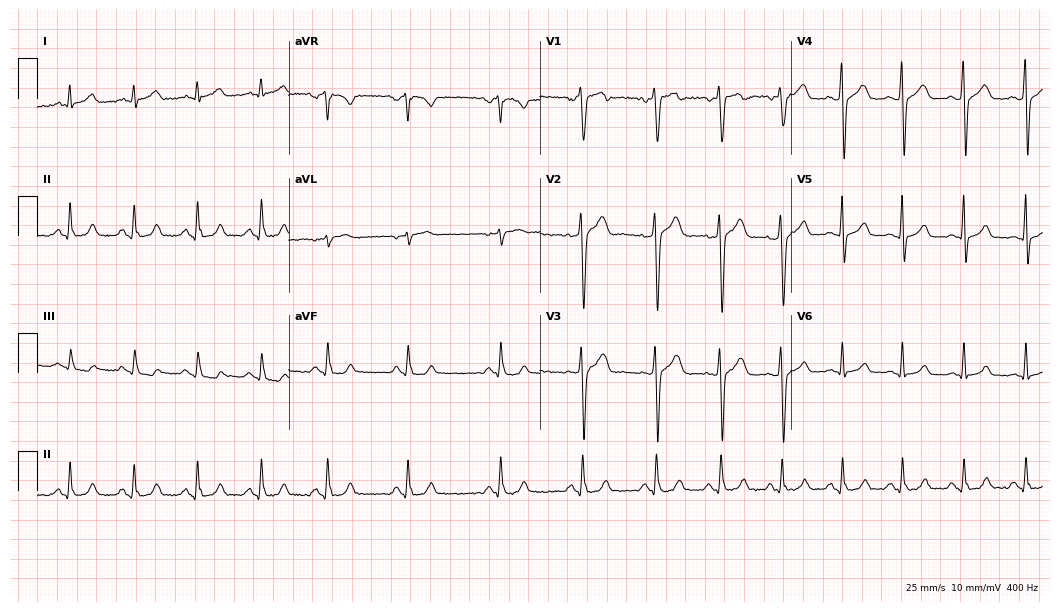
ECG — a man, 55 years old. Labelled as a normal ECG.